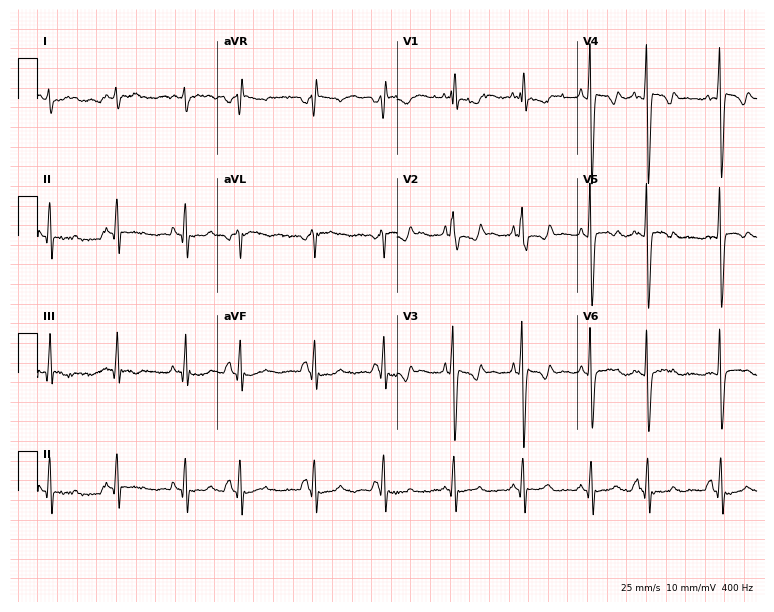
12-lead ECG from a 74-year-old male patient (7.3-second recording at 400 Hz). No first-degree AV block, right bundle branch block, left bundle branch block, sinus bradycardia, atrial fibrillation or sinus tachycardia recorded for this tracing. Findings outside these six are not listed.